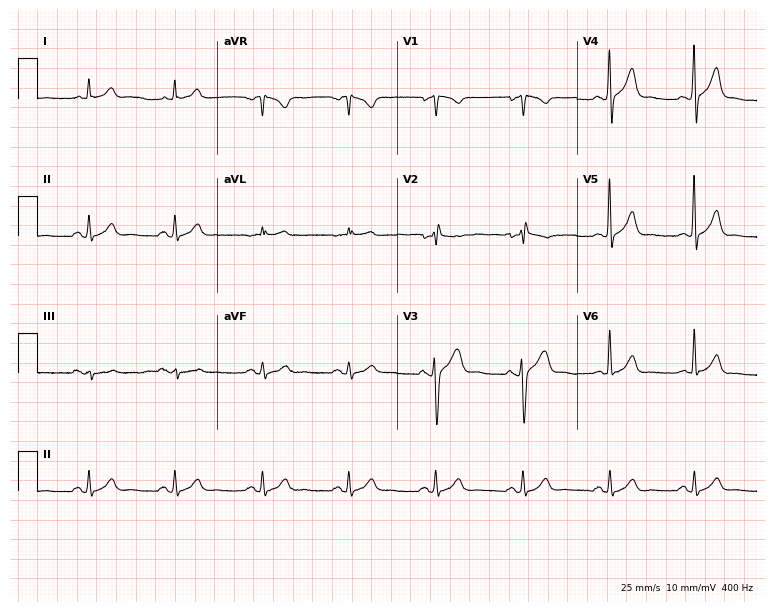
12-lead ECG (7.3-second recording at 400 Hz) from a 41-year-old man. Screened for six findings — first-degree AV block, right bundle branch block, left bundle branch block, sinus bradycardia, atrial fibrillation, sinus tachycardia — none is recorded. Findings outside these six are not listed.